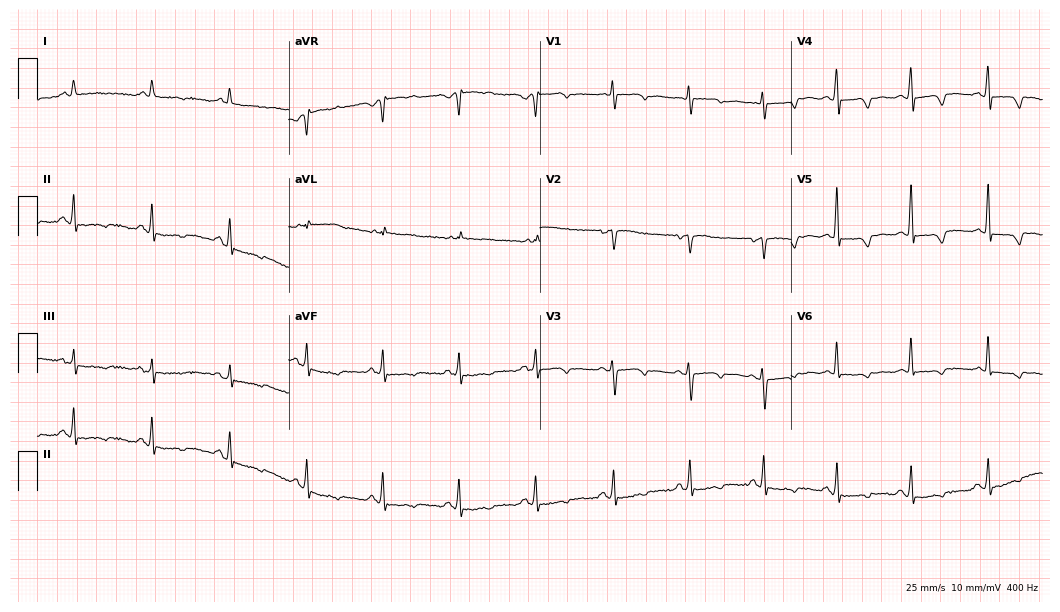
12-lead ECG (10.2-second recording at 400 Hz) from a 48-year-old female patient. Screened for six findings — first-degree AV block, right bundle branch block (RBBB), left bundle branch block (LBBB), sinus bradycardia, atrial fibrillation (AF), sinus tachycardia — none is recorded.